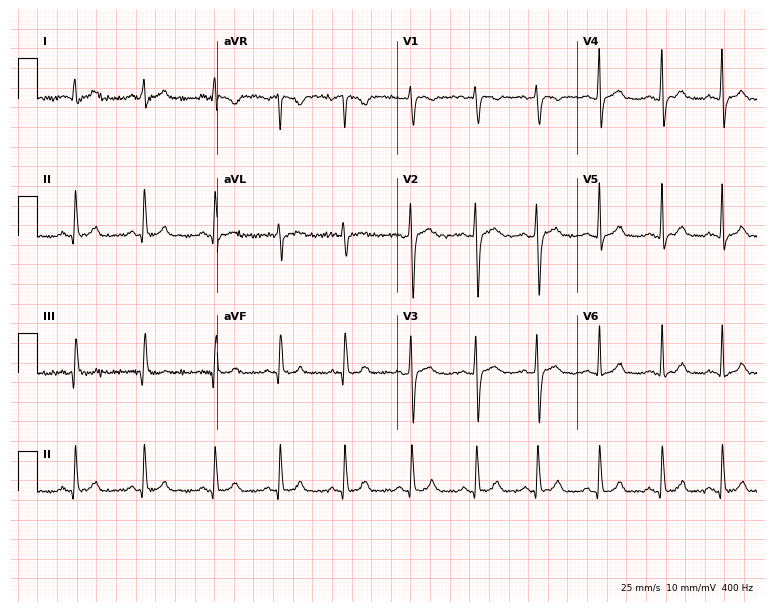
Resting 12-lead electrocardiogram. Patient: a 23-year-old female. Read as a normal ECG.